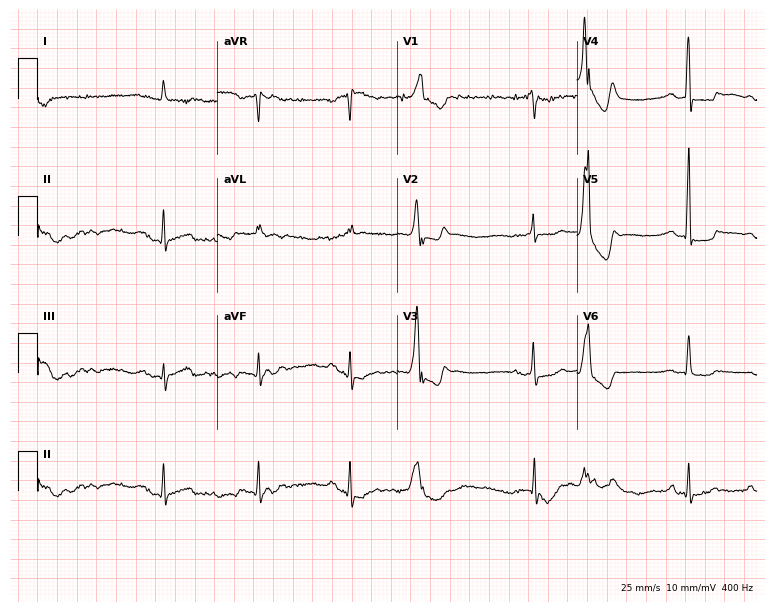
12-lead ECG from a male, 81 years old. Screened for six findings — first-degree AV block, right bundle branch block (RBBB), left bundle branch block (LBBB), sinus bradycardia, atrial fibrillation (AF), sinus tachycardia — none is recorded.